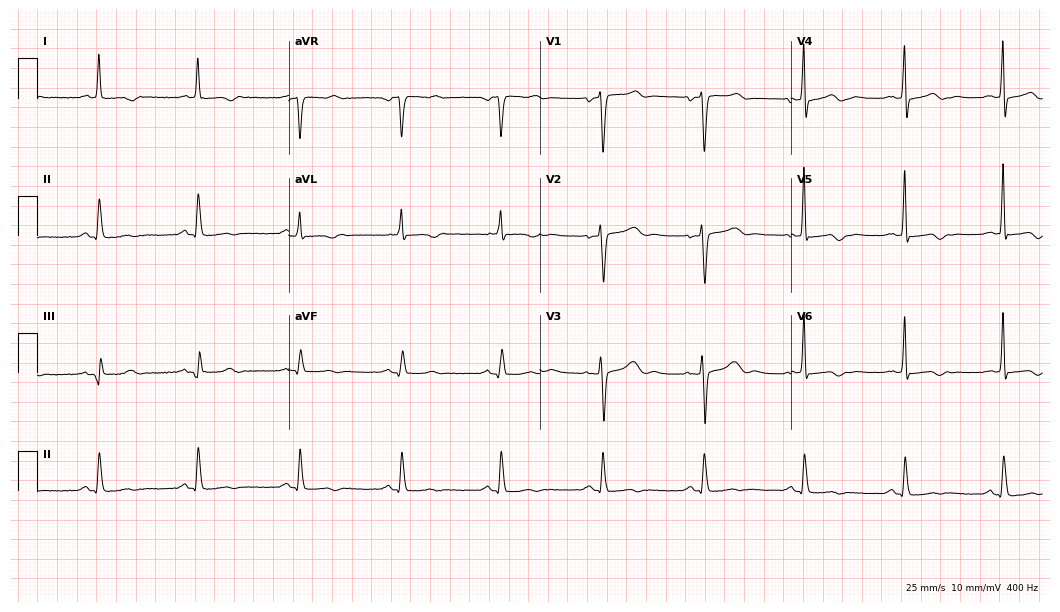
12-lead ECG from a 68-year-old female. Screened for six findings — first-degree AV block, right bundle branch block (RBBB), left bundle branch block (LBBB), sinus bradycardia, atrial fibrillation (AF), sinus tachycardia — none is recorded. Only these six findings were labelled.